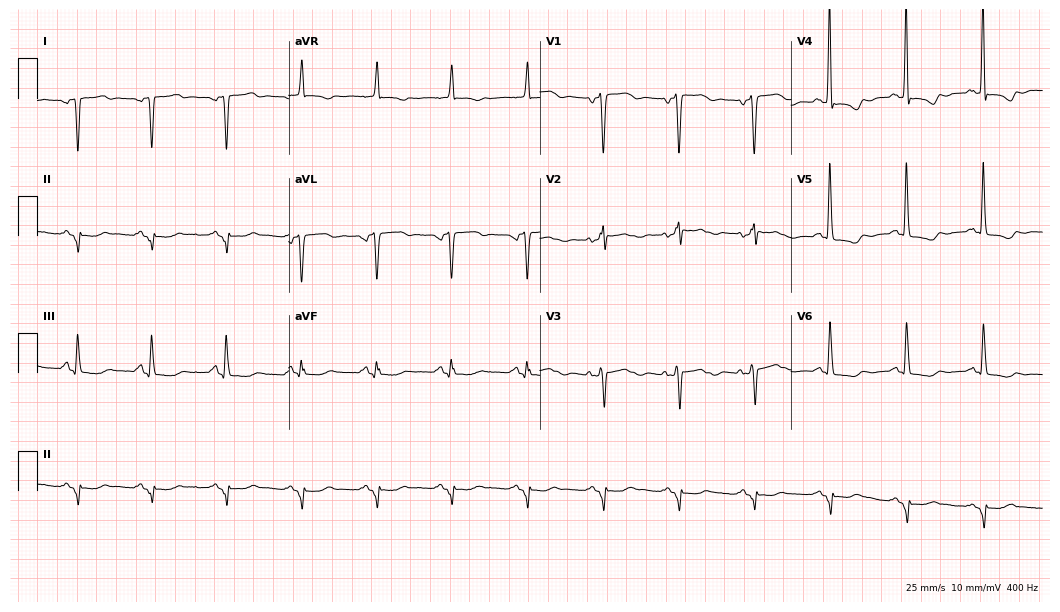
ECG — an 80-year-old female. Screened for six findings — first-degree AV block, right bundle branch block, left bundle branch block, sinus bradycardia, atrial fibrillation, sinus tachycardia — none is recorded.